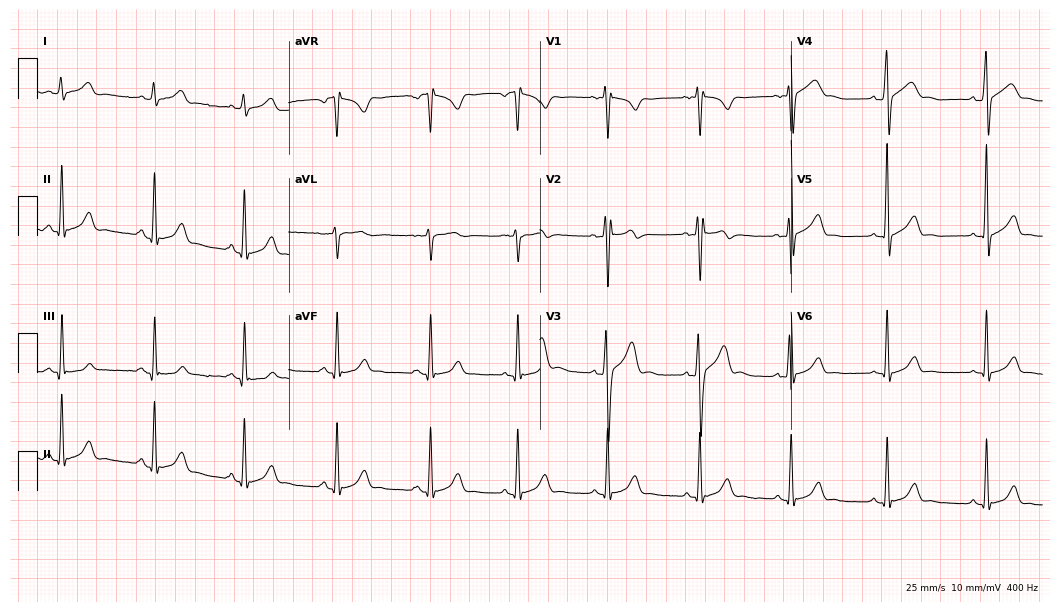
Standard 12-lead ECG recorded from a 21-year-old man (10.2-second recording at 400 Hz). Read as a normal ECG.